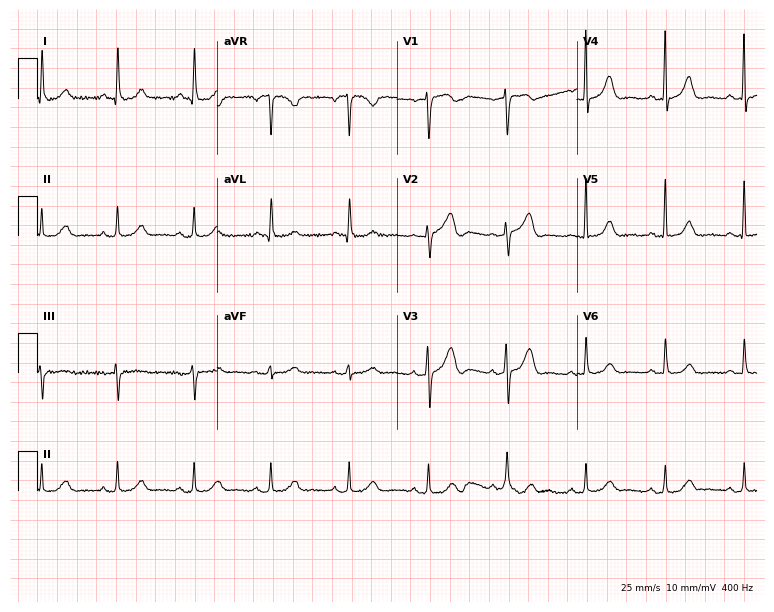
Electrocardiogram, a 69-year-old woman. Of the six screened findings (first-degree AV block, right bundle branch block (RBBB), left bundle branch block (LBBB), sinus bradycardia, atrial fibrillation (AF), sinus tachycardia), none is recorded. Only these six findings were labelled.